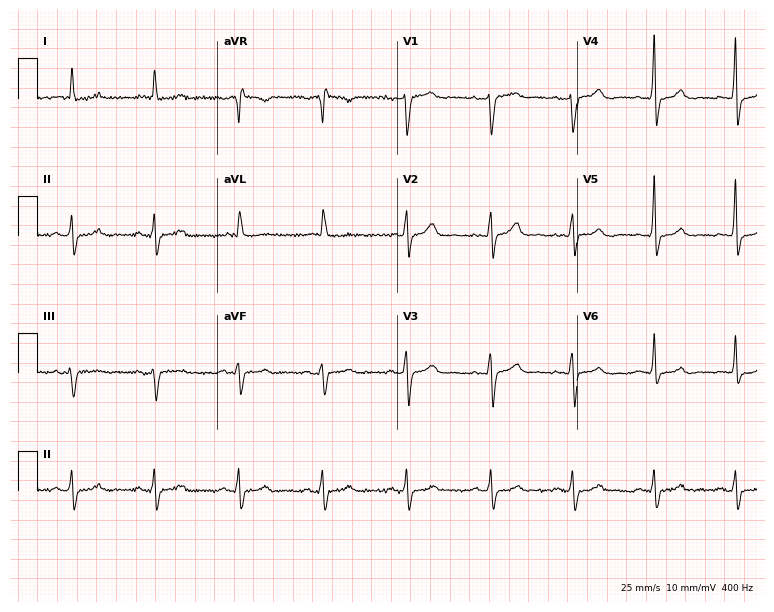
Standard 12-lead ECG recorded from a 66-year-old female. Read as a normal ECG.